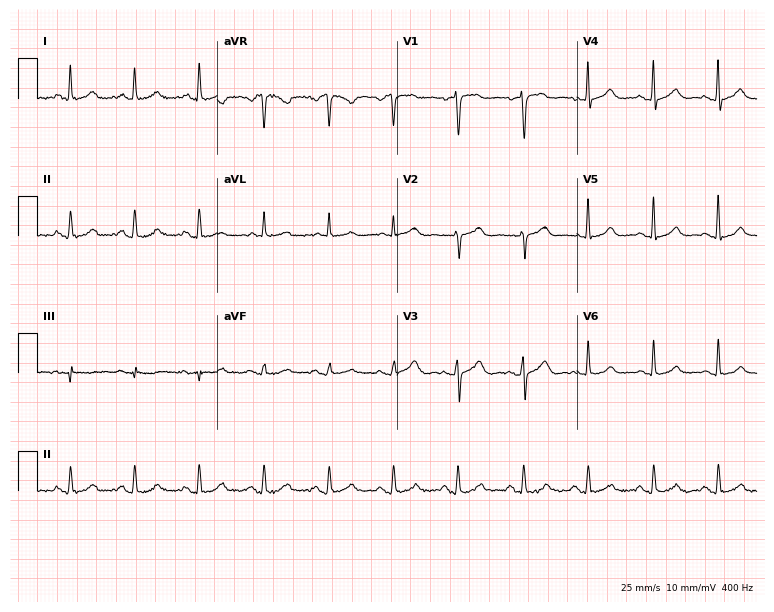
12-lead ECG from a female, 52 years old. Recorded interpretation: within normal limits.